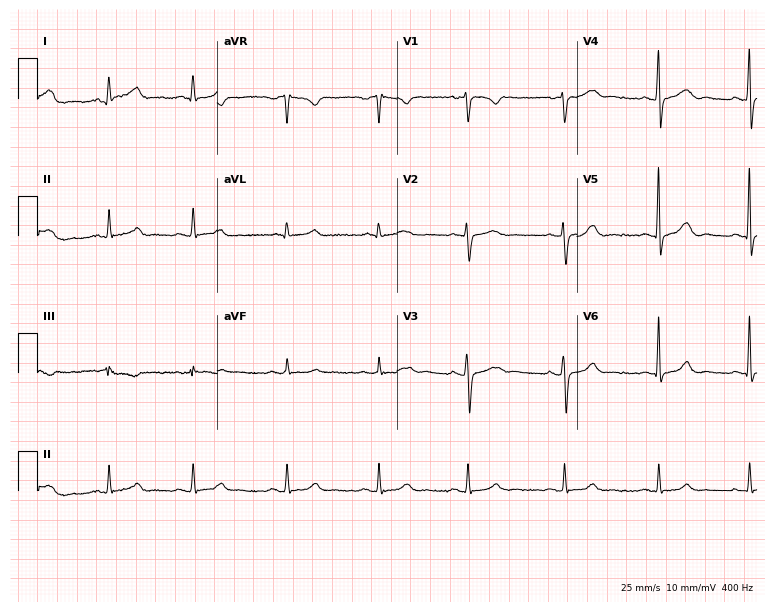
Standard 12-lead ECG recorded from a female, 31 years old (7.3-second recording at 400 Hz). Read as a normal ECG.